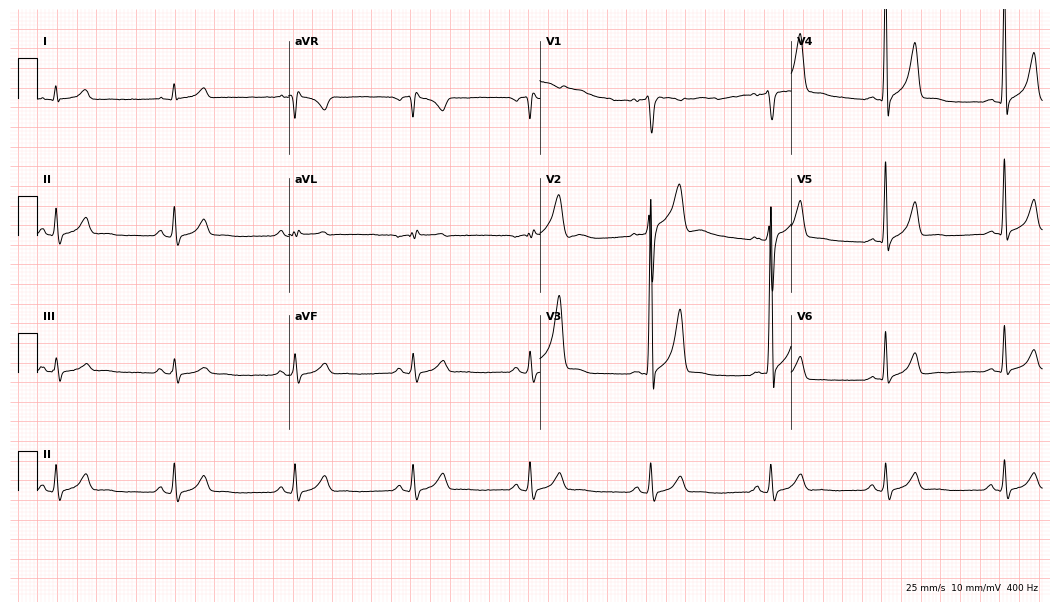
Standard 12-lead ECG recorded from a 51-year-old man. The tracing shows sinus bradycardia (a sinus rate of 50 beats per minute or less).